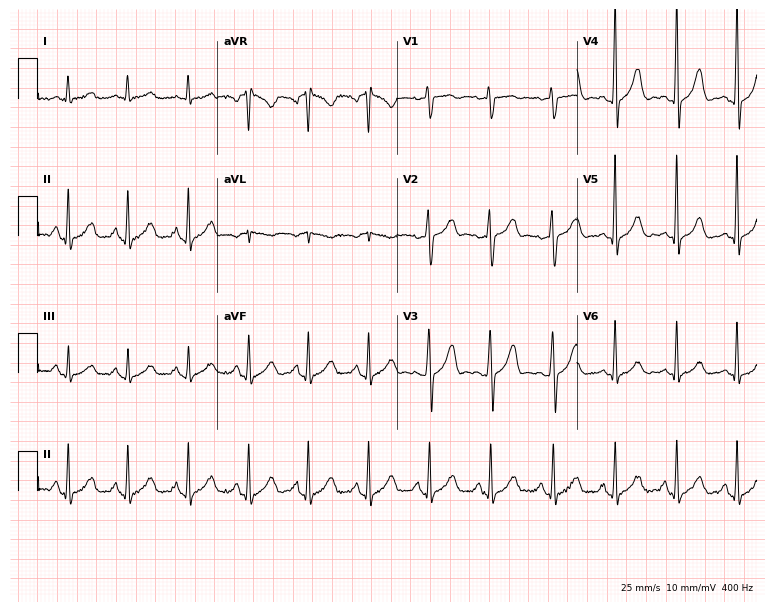
Standard 12-lead ECG recorded from a 71-year-old female patient (7.3-second recording at 400 Hz). Read as a normal ECG.